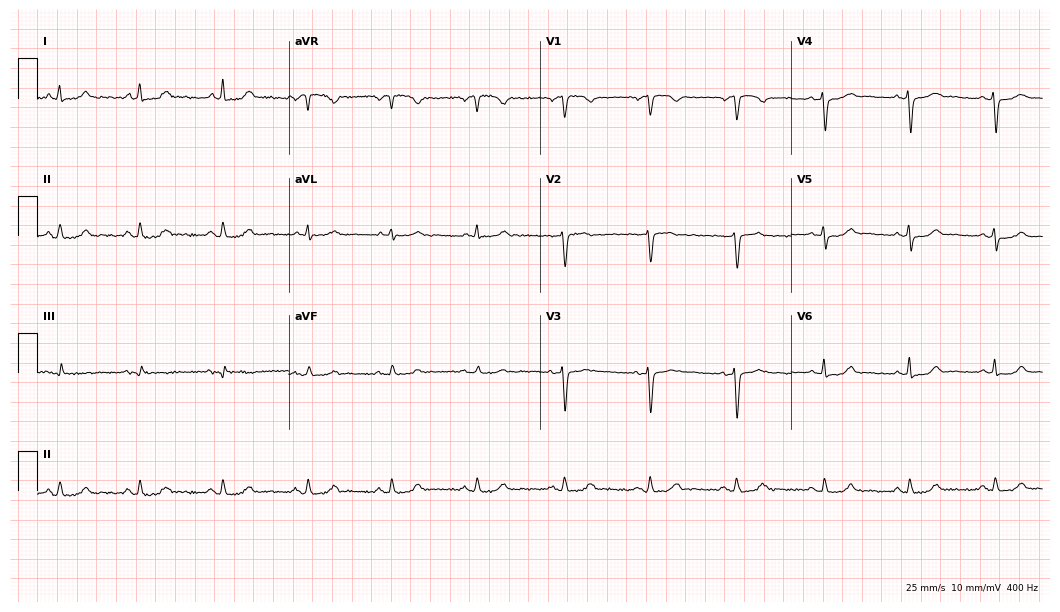
ECG — a 51-year-old female patient. Screened for six findings — first-degree AV block, right bundle branch block (RBBB), left bundle branch block (LBBB), sinus bradycardia, atrial fibrillation (AF), sinus tachycardia — none is recorded.